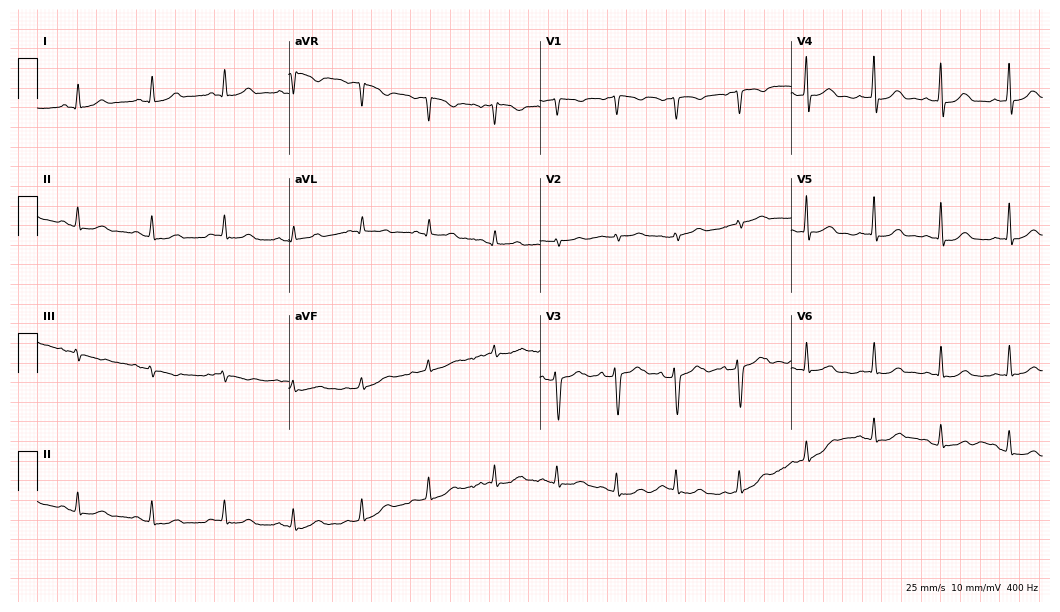
ECG (10.2-second recording at 400 Hz) — a 32-year-old female patient. Labelled as a normal ECG.